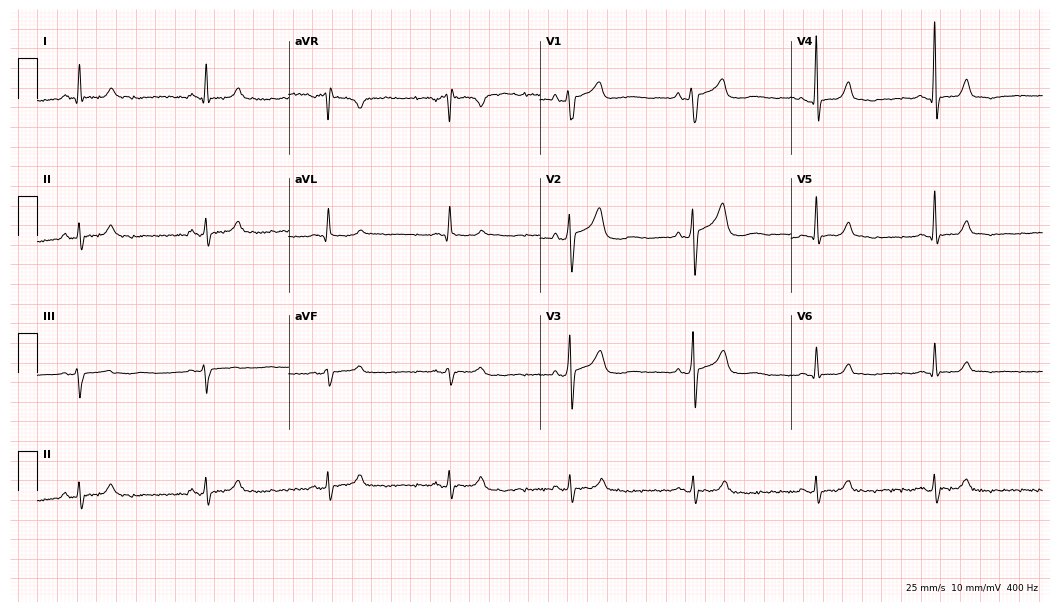
Electrocardiogram (10.2-second recording at 400 Hz), a male patient, 60 years old. Interpretation includes sinus bradycardia (a sinus rate of 50 beats per minute or less).